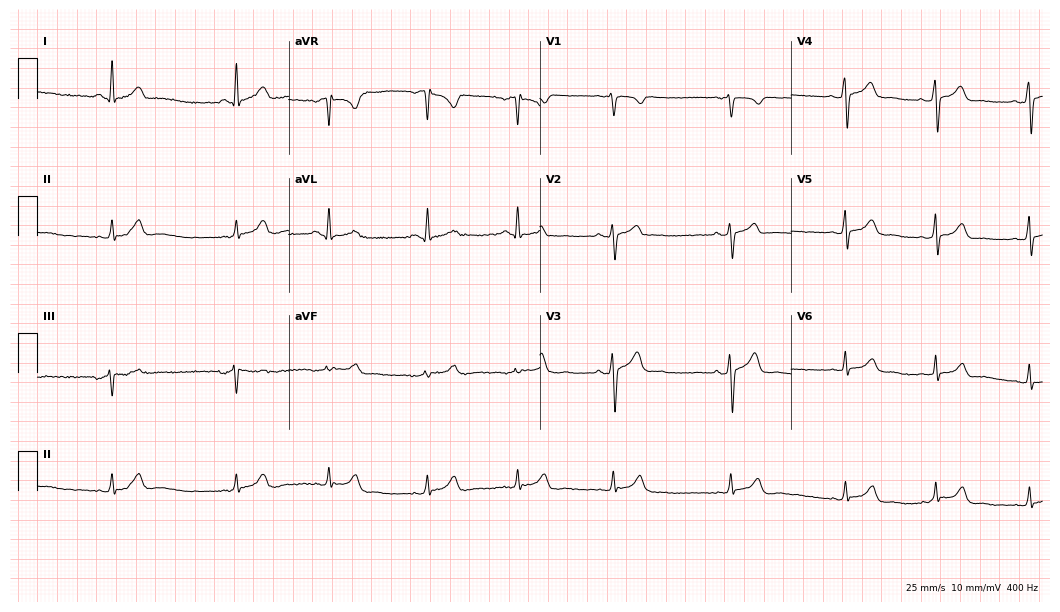
ECG (10.2-second recording at 400 Hz) — a 29-year-old female. Labelled as a normal ECG.